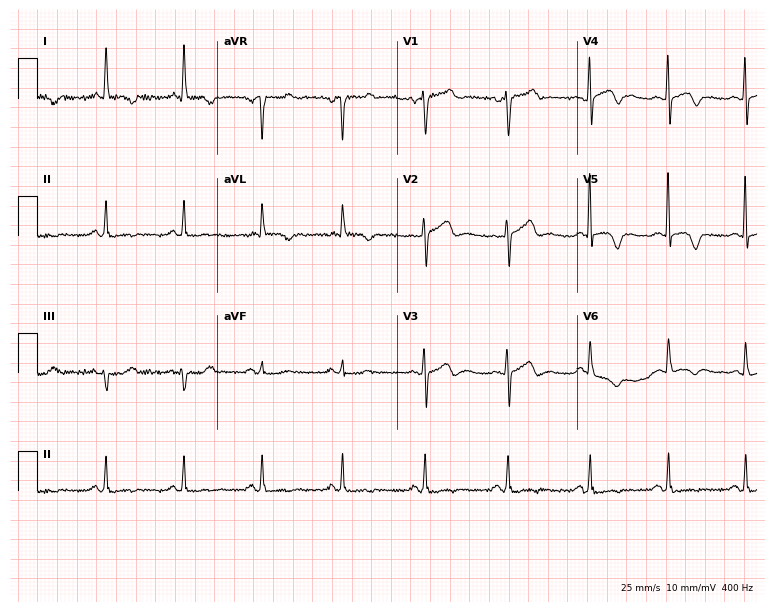
Resting 12-lead electrocardiogram. Patient: a woman, 81 years old. None of these six findings is recorded: first-degree AV block, right bundle branch block, left bundle branch block, sinus bradycardia, atrial fibrillation, sinus tachycardia.